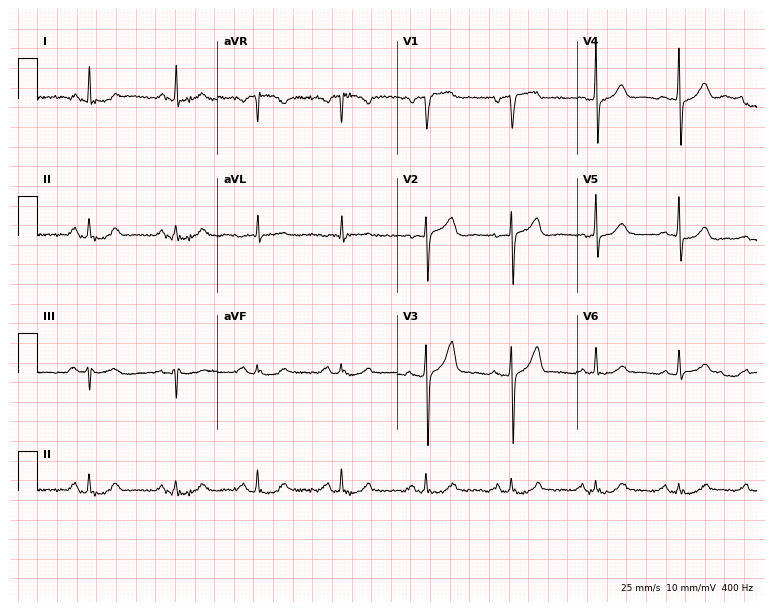
Resting 12-lead electrocardiogram (7.3-second recording at 400 Hz). Patient: a 56-year-old man. Read as a normal ECG.